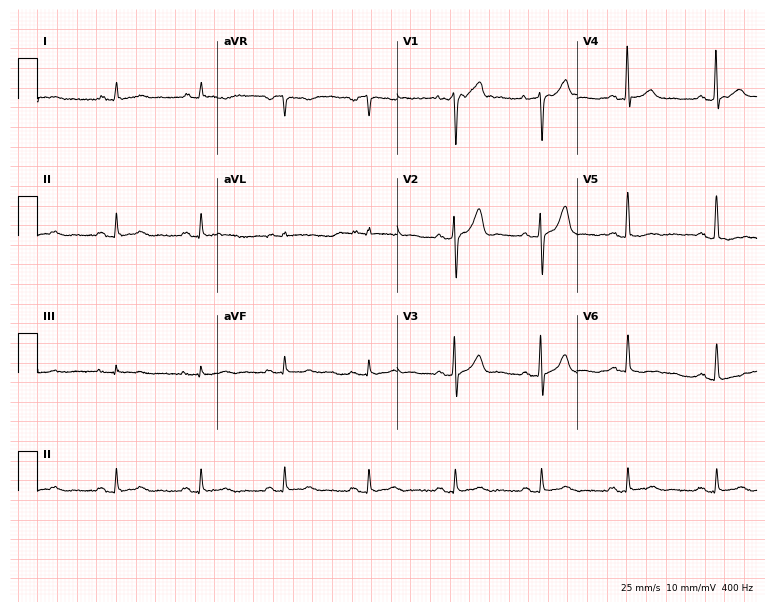
Resting 12-lead electrocardiogram (7.3-second recording at 400 Hz). Patient: a man, 55 years old. None of these six findings is recorded: first-degree AV block, right bundle branch block, left bundle branch block, sinus bradycardia, atrial fibrillation, sinus tachycardia.